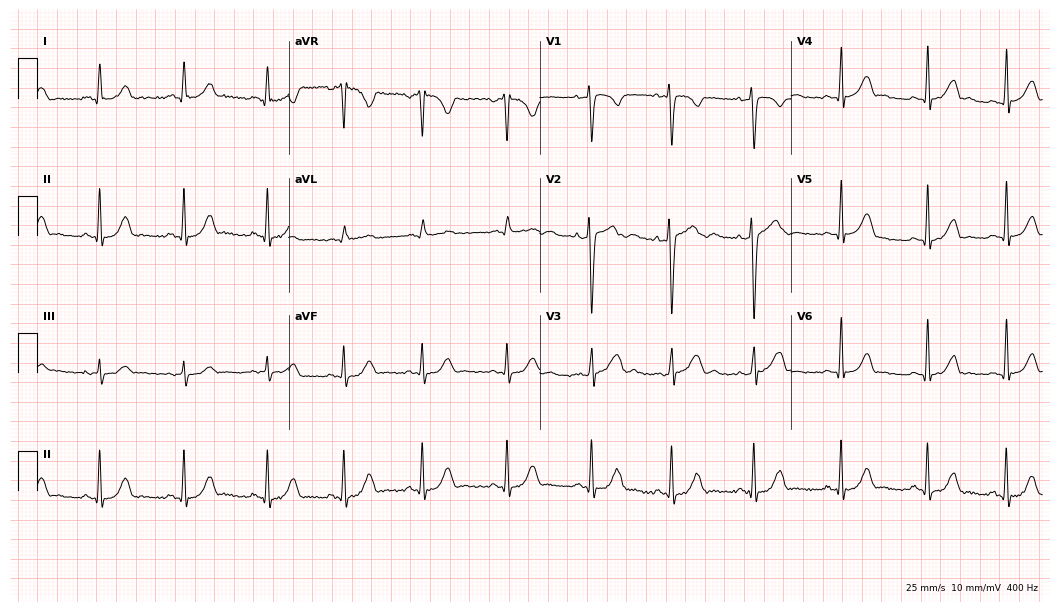
Standard 12-lead ECG recorded from a female patient, 21 years old. Read as a normal ECG.